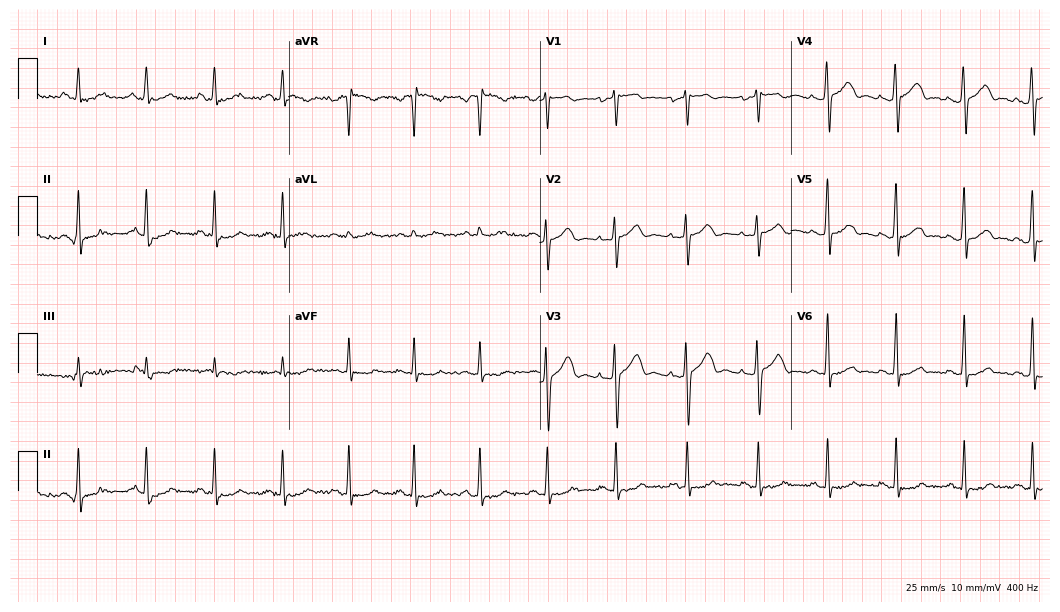
Standard 12-lead ECG recorded from a man, 39 years old. None of these six findings is recorded: first-degree AV block, right bundle branch block, left bundle branch block, sinus bradycardia, atrial fibrillation, sinus tachycardia. Other findings, if any, are not listed.